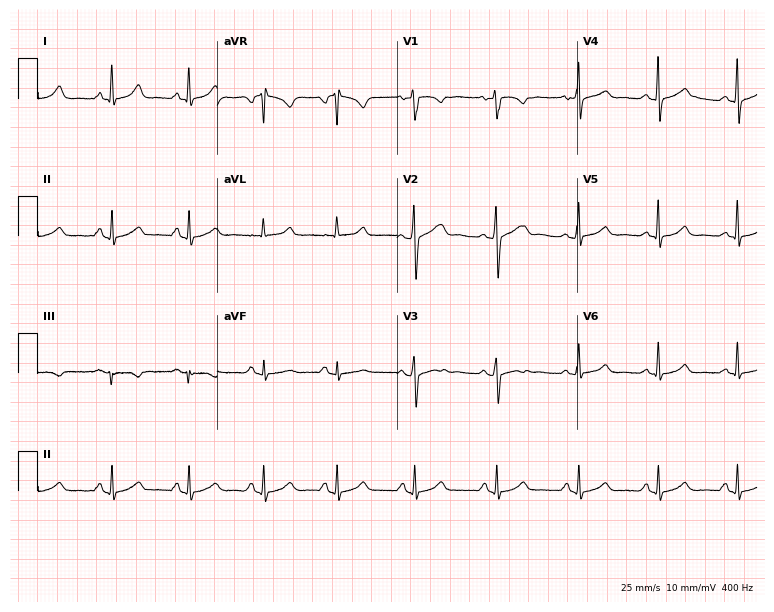
12-lead ECG from a female, 40 years old. Recorded interpretation: within normal limits.